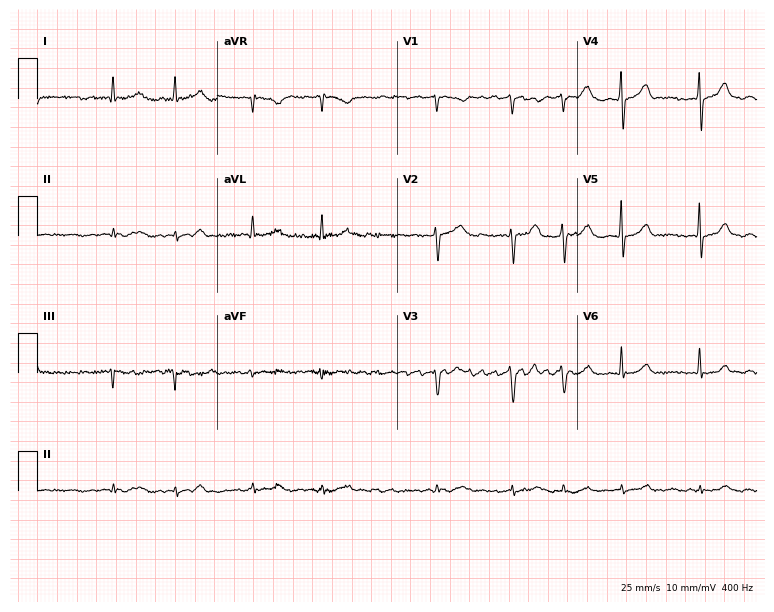
Electrocardiogram (7.3-second recording at 400 Hz), a 70-year-old male. Interpretation includes atrial fibrillation (AF).